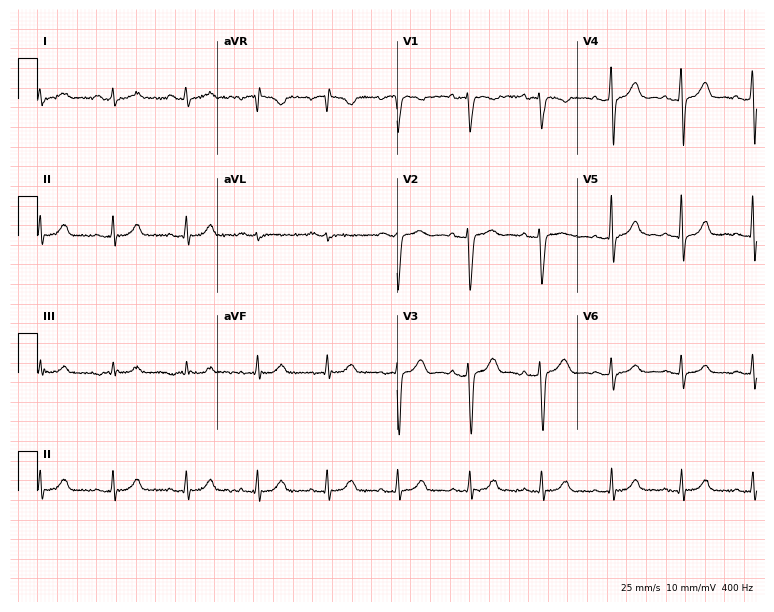
Standard 12-lead ECG recorded from a 39-year-old woman. Read as a normal ECG.